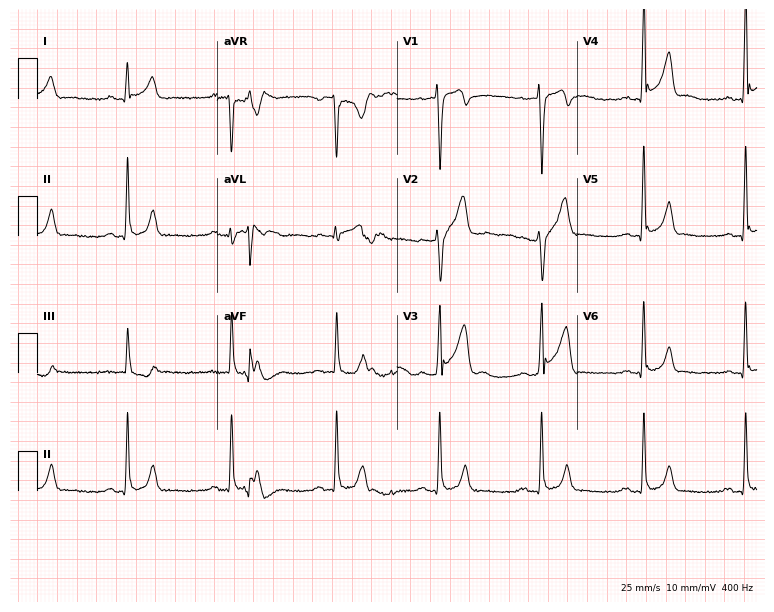
12-lead ECG from a male patient, 35 years old. Recorded interpretation: within normal limits.